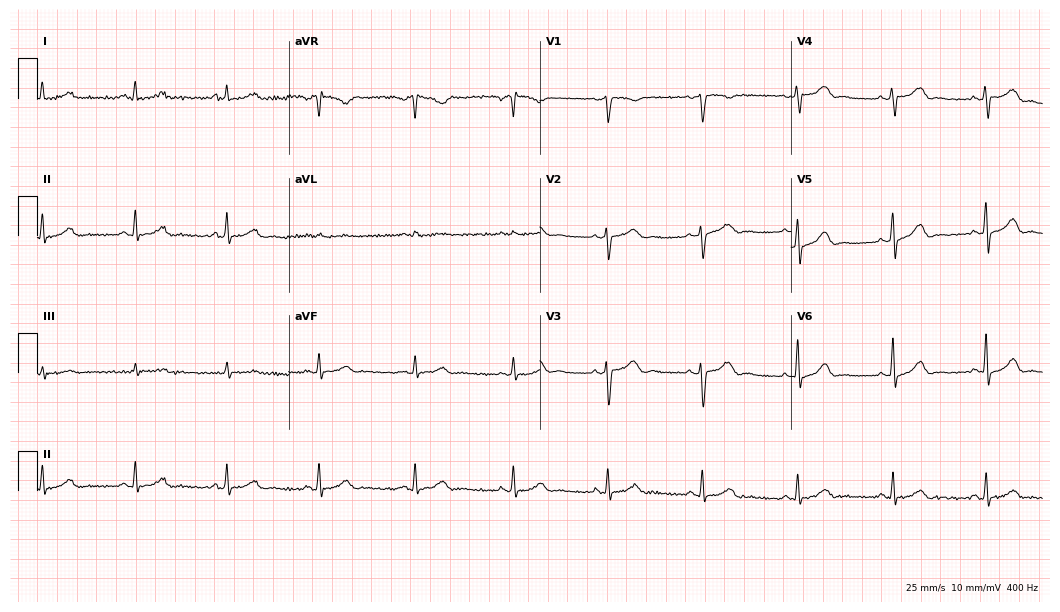
ECG (10.2-second recording at 400 Hz) — a woman, 37 years old. Labelled as a normal ECG.